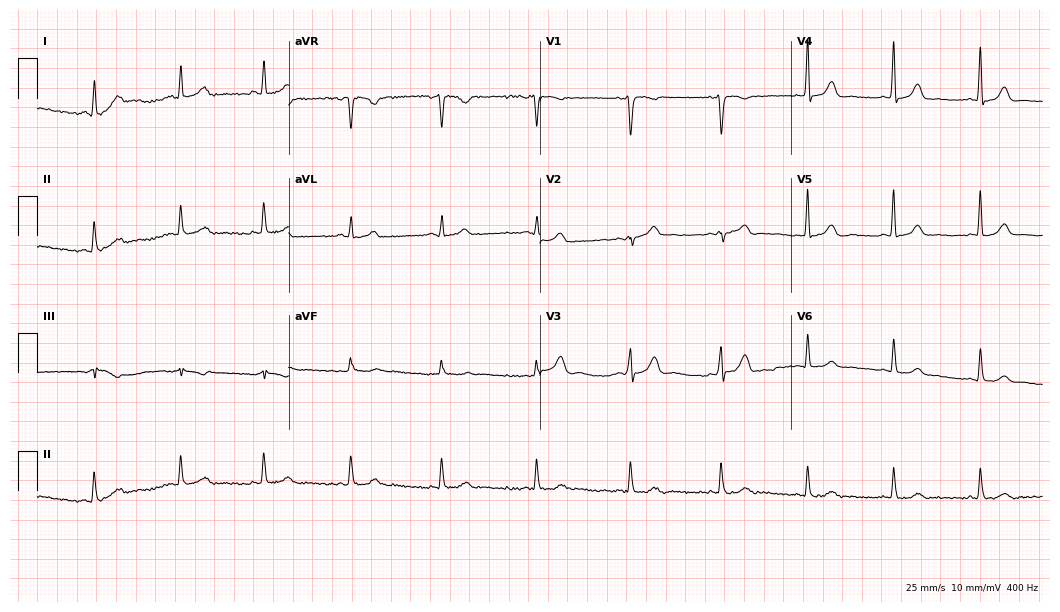
Standard 12-lead ECG recorded from a female, 38 years old. None of these six findings is recorded: first-degree AV block, right bundle branch block, left bundle branch block, sinus bradycardia, atrial fibrillation, sinus tachycardia. Findings outside these six are not listed.